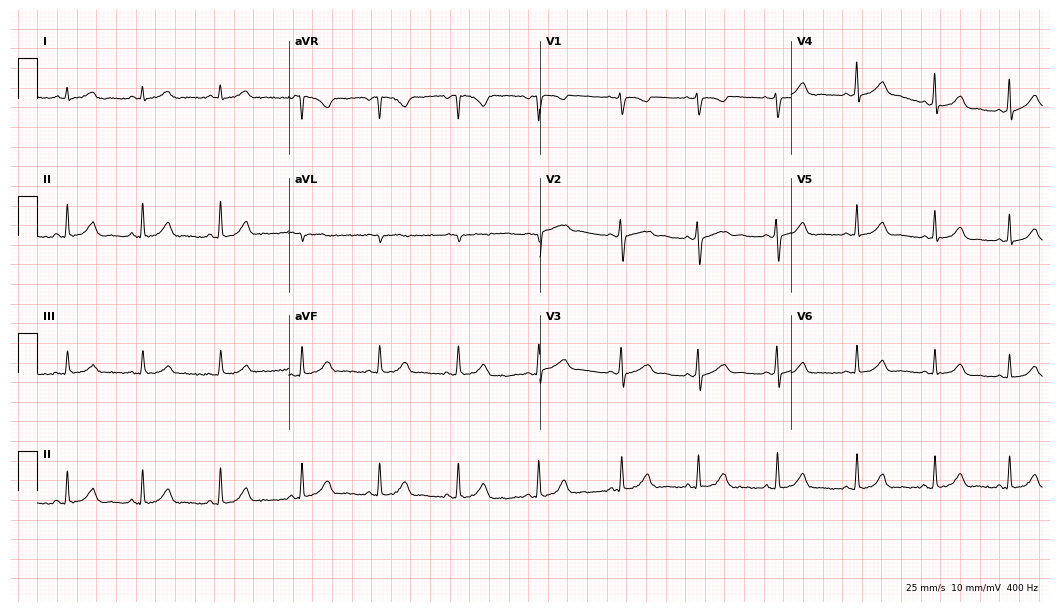
12-lead ECG from a 35-year-old woman. Labelled as a normal ECG.